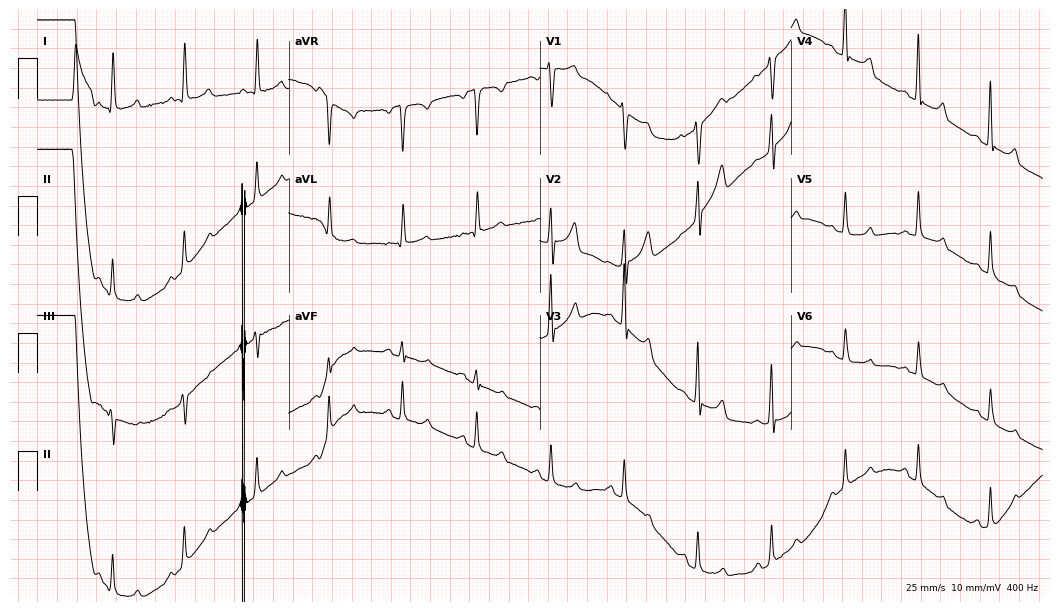
Resting 12-lead electrocardiogram (10.2-second recording at 400 Hz). Patient: a 43-year-old woman. None of these six findings is recorded: first-degree AV block, right bundle branch block (RBBB), left bundle branch block (LBBB), sinus bradycardia, atrial fibrillation (AF), sinus tachycardia. Only these six findings were labelled.